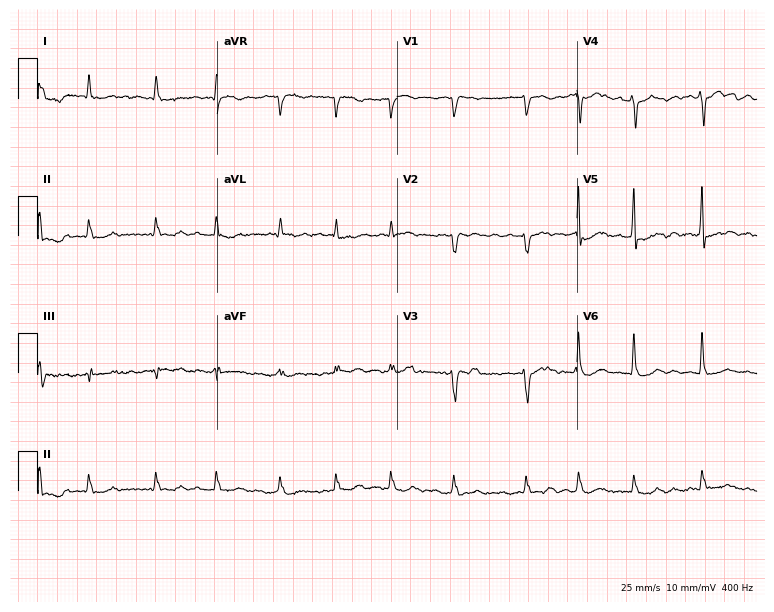
12-lead ECG (7.3-second recording at 400 Hz) from a female, 73 years old. Findings include atrial fibrillation.